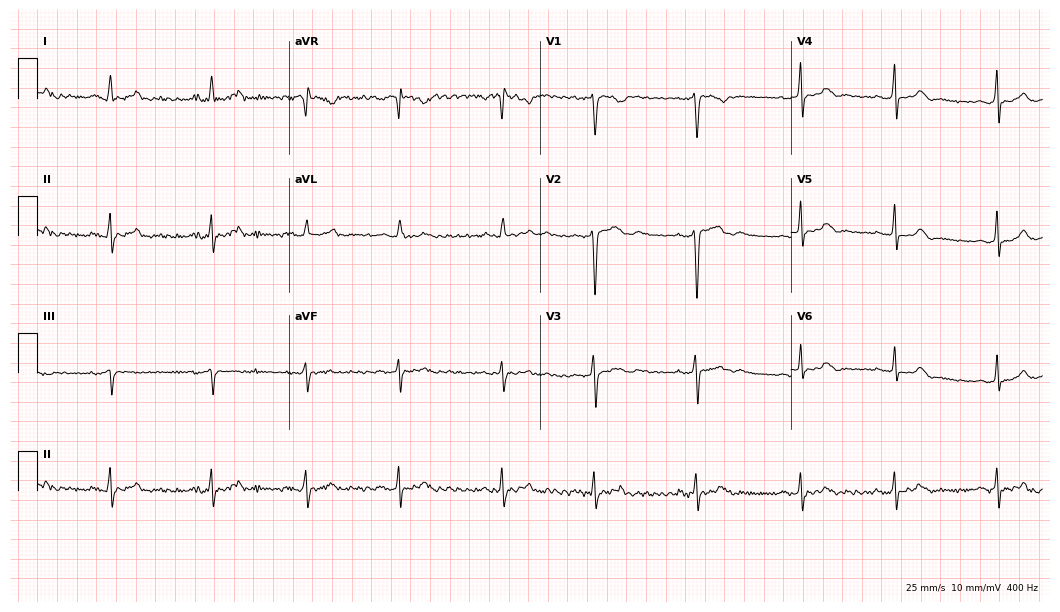
12-lead ECG from a 23-year-old female. Labelled as a normal ECG.